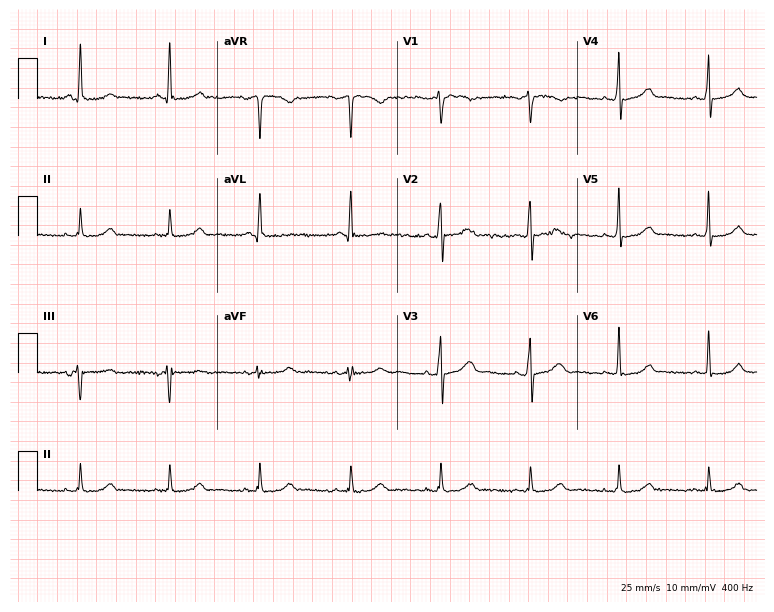
Electrocardiogram, a 57-year-old female patient. Overall reading on record: normal ECG.